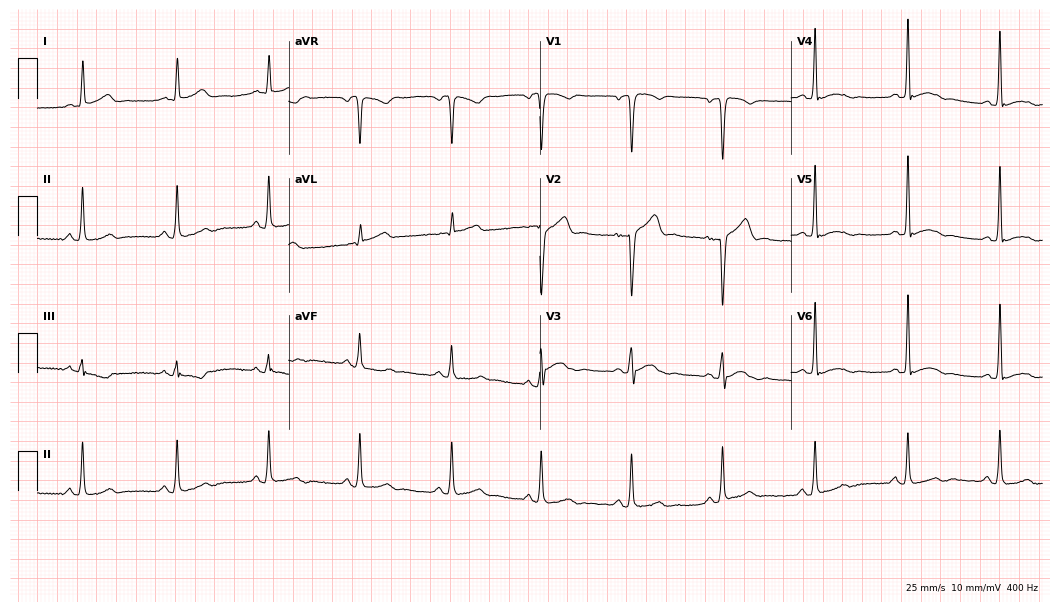
12-lead ECG from a male, 53 years old (10.2-second recording at 400 Hz). Recorded interpretation: within normal limits.